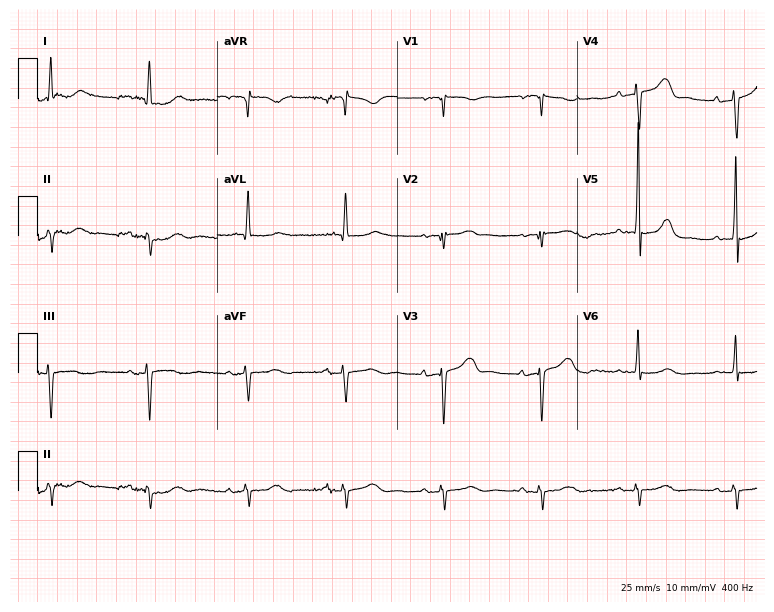
Standard 12-lead ECG recorded from a 78-year-old male (7.3-second recording at 400 Hz). None of these six findings is recorded: first-degree AV block, right bundle branch block (RBBB), left bundle branch block (LBBB), sinus bradycardia, atrial fibrillation (AF), sinus tachycardia.